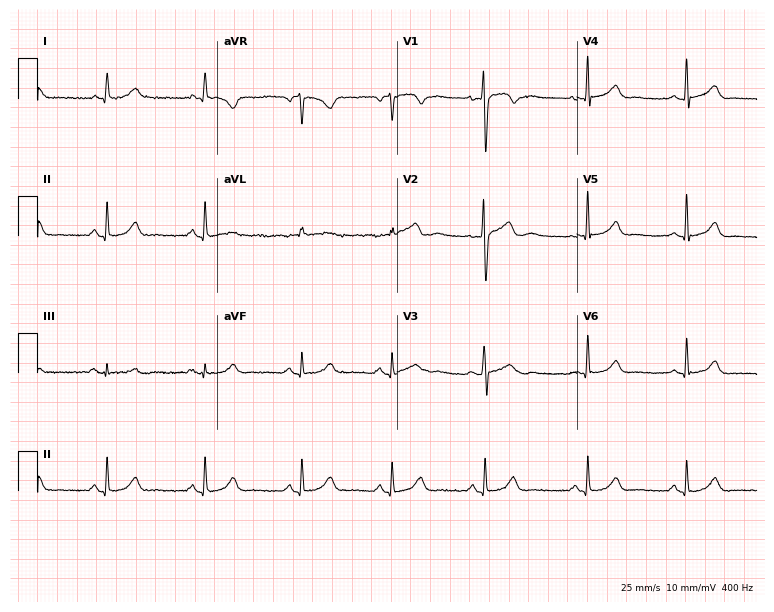
12-lead ECG (7.3-second recording at 400 Hz) from a 27-year-old woman. Labelled as a normal ECG.